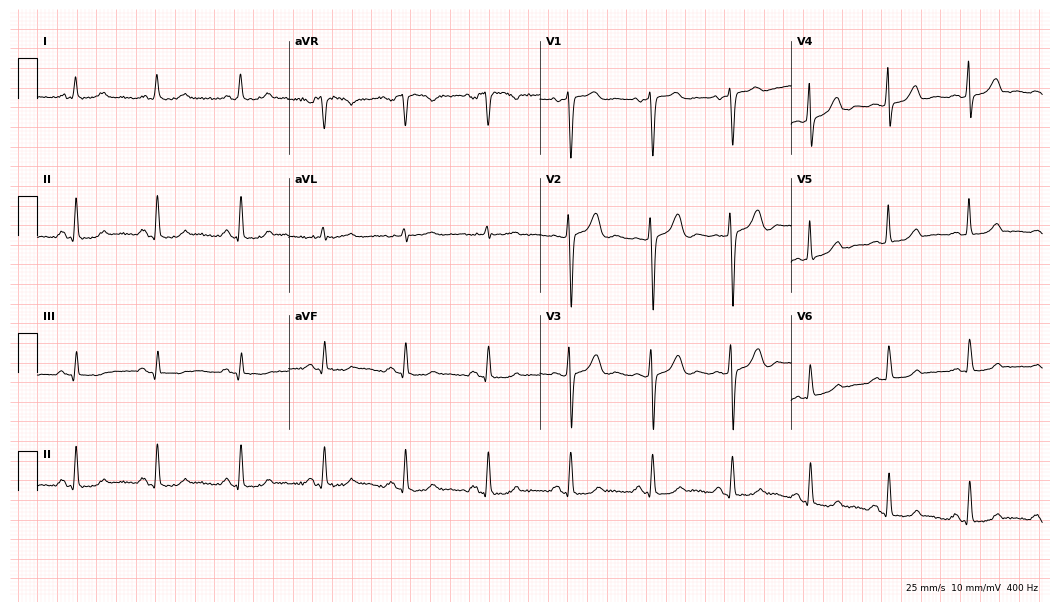
12-lead ECG from a 67-year-old female patient. Screened for six findings — first-degree AV block, right bundle branch block, left bundle branch block, sinus bradycardia, atrial fibrillation, sinus tachycardia — none is recorded. Other findings, if any, are not listed.